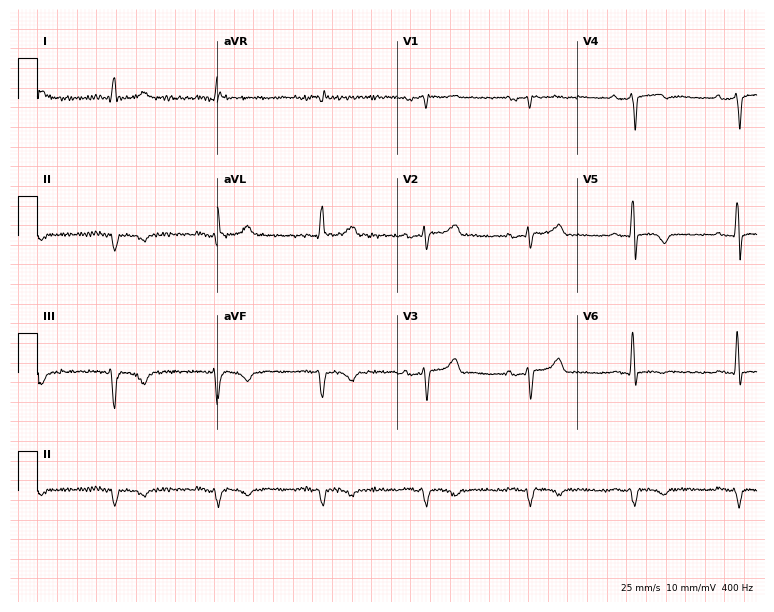
12-lead ECG from a 73-year-old male patient. No first-degree AV block, right bundle branch block (RBBB), left bundle branch block (LBBB), sinus bradycardia, atrial fibrillation (AF) or sinus tachycardia recorded for this tracing.